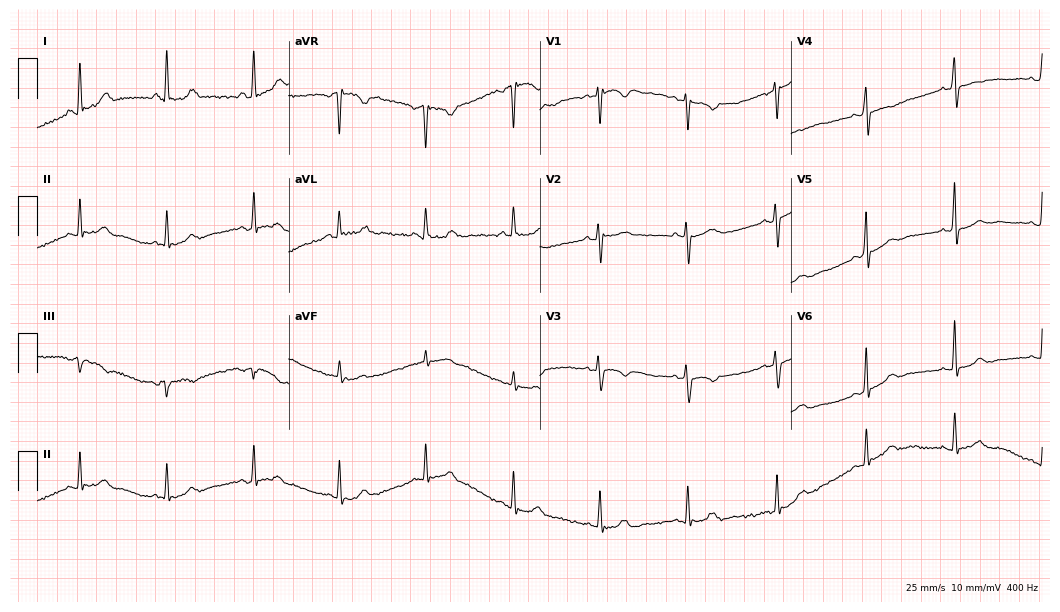
Standard 12-lead ECG recorded from a female, 50 years old (10.2-second recording at 400 Hz). None of these six findings is recorded: first-degree AV block, right bundle branch block, left bundle branch block, sinus bradycardia, atrial fibrillation, sinus tachycardia.